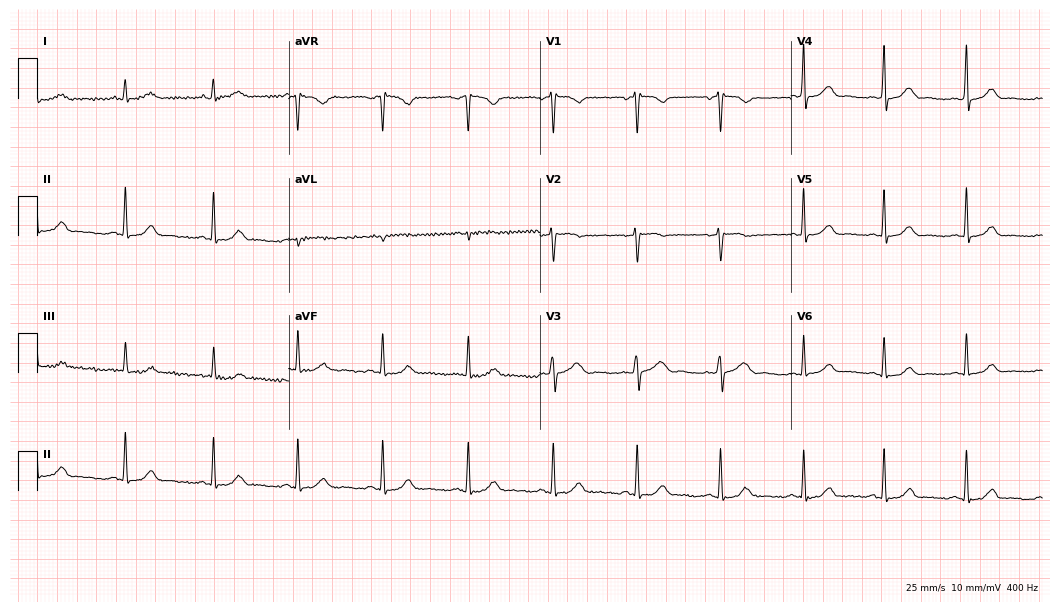
12-lead ECG from a female patient, 41 years old. Recorded interpretation: within normal limits.